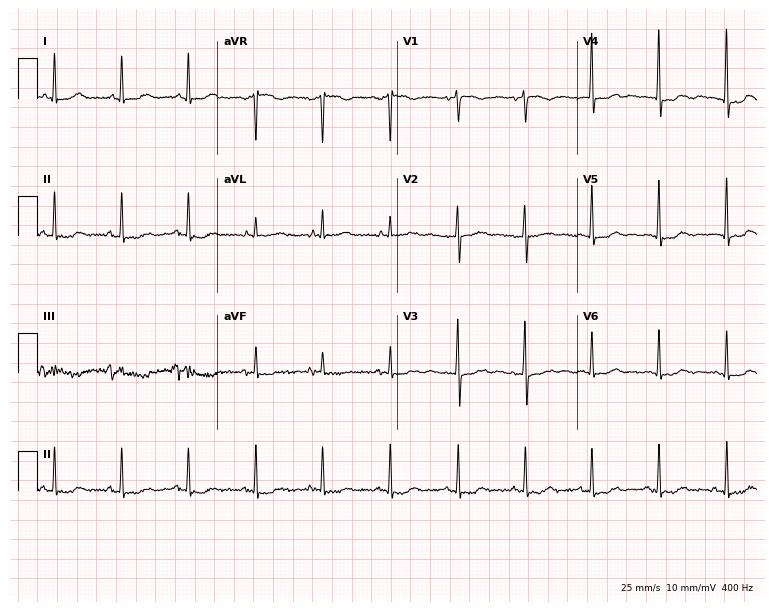
12-lead ECG (7.3-second recording at 400 Hz) from a female, 85 years old. Screened for six findings — first-degree AV block, right bundle branch block, left bundle branch block, sinus bradycardia, atrial fibrillation, sinus tachycardia — none is recorded.